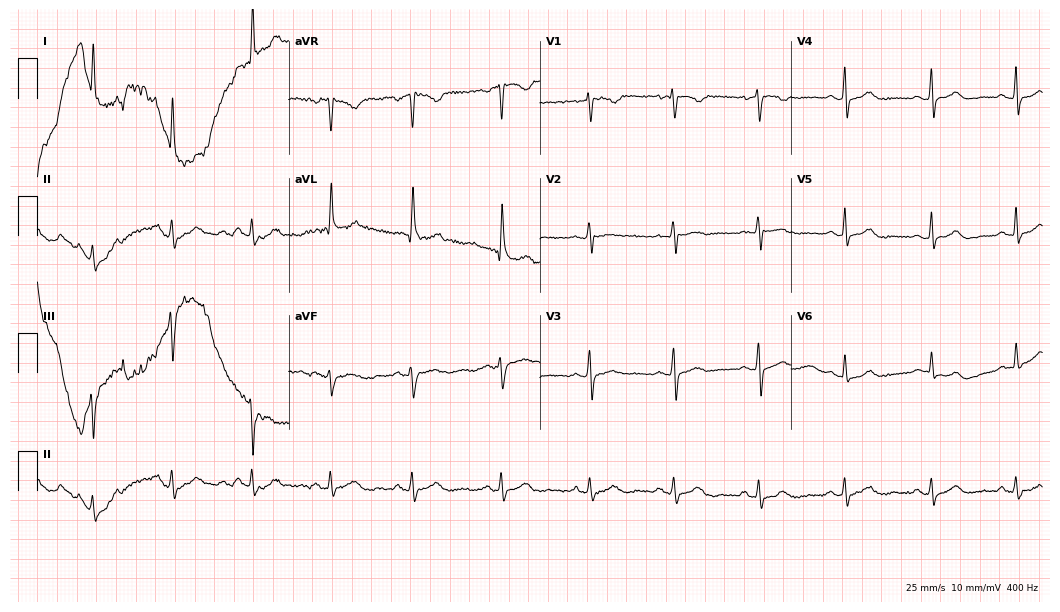
12-lead ECG (10.2-second recording at 400 Hz) from a 50-year-old woman. Screened for six findings — first-degree AV block, right bundle branch block, left bundle branch block, sinus bradycardia, atrial fibrillation, sinus tachycardia — none is recorded. Other findings, if any, are not listed.